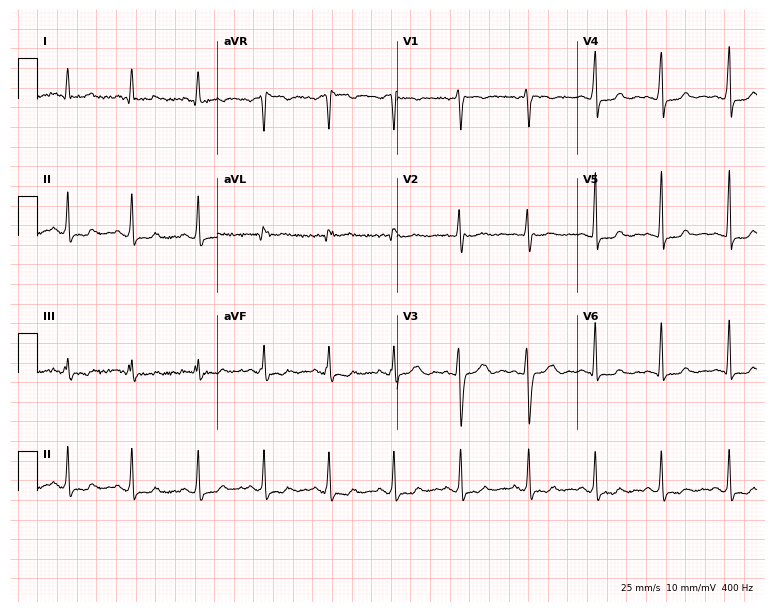
12-lead ECG (7.3-second recording at 400 Hz) from a female, 29 years old. Screened for six findings — first-degree AV block, right bundle branch block, left bundle branch block, sinus bradycardia, atrial fibrillation, sinus tachycardia — none is recorded.